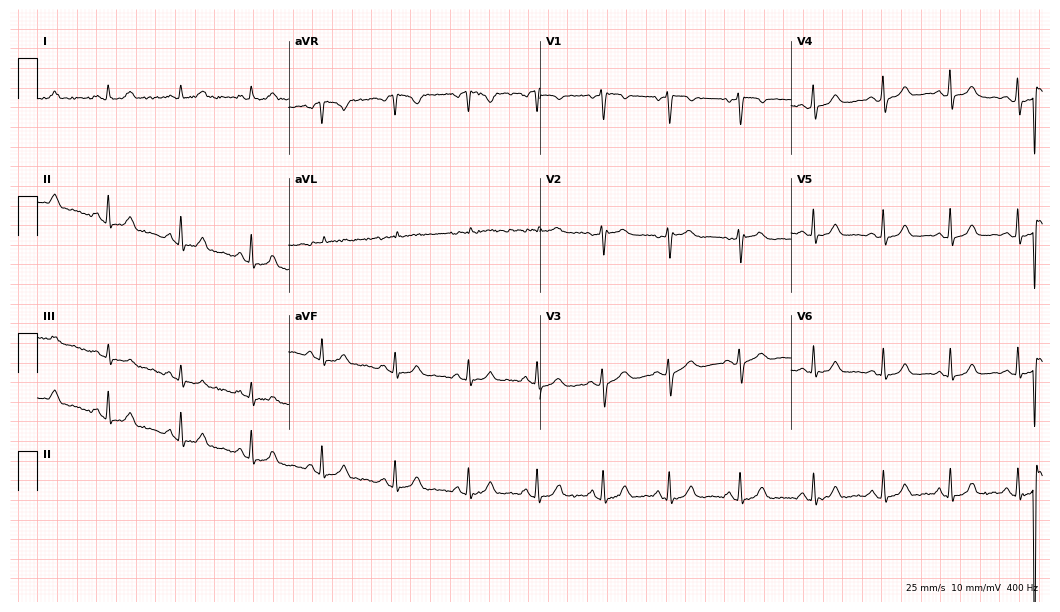
Resting 12-lead electrocardiogram (10.2-second recording at 400 Hz). Patient: a 36-year-old female. Read as a normal ECG.